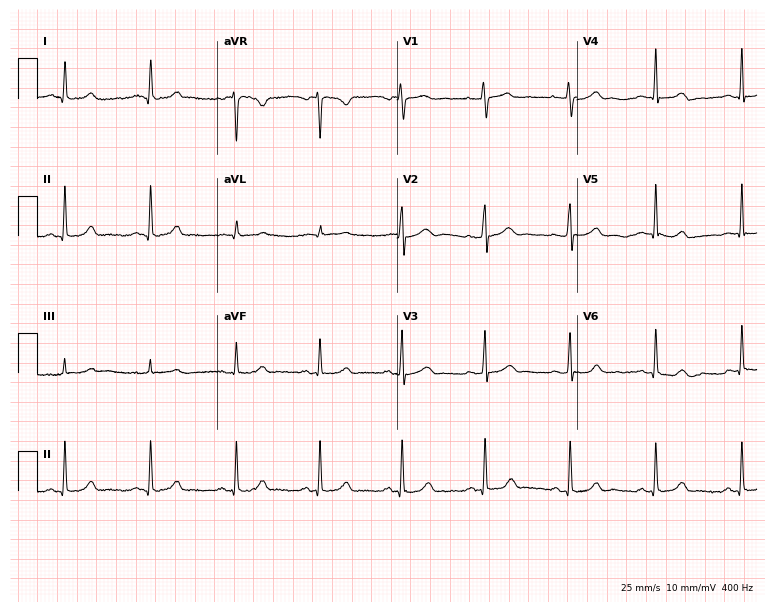
ECG (7.3-second recording at 400 Hz) — a female, 31 years old. Labelled as a normal ECG.